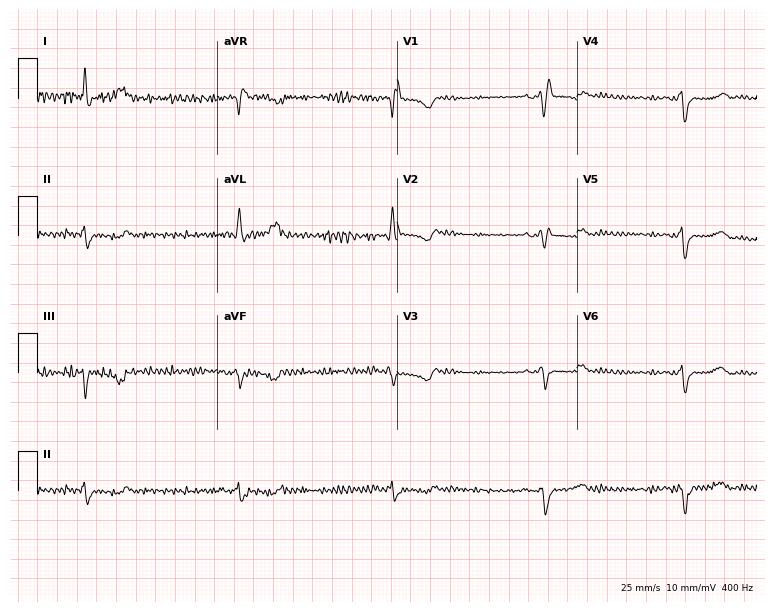
12-lead ECG (7.3-second recording at 400 Hz) from a woman, 65 years old. Screened for six findings — first-degree AV block, right bundle branch block, left bundle branch block, sinus bradycardia, atrial fibrillation, sinus tachycardia — none is recorded.